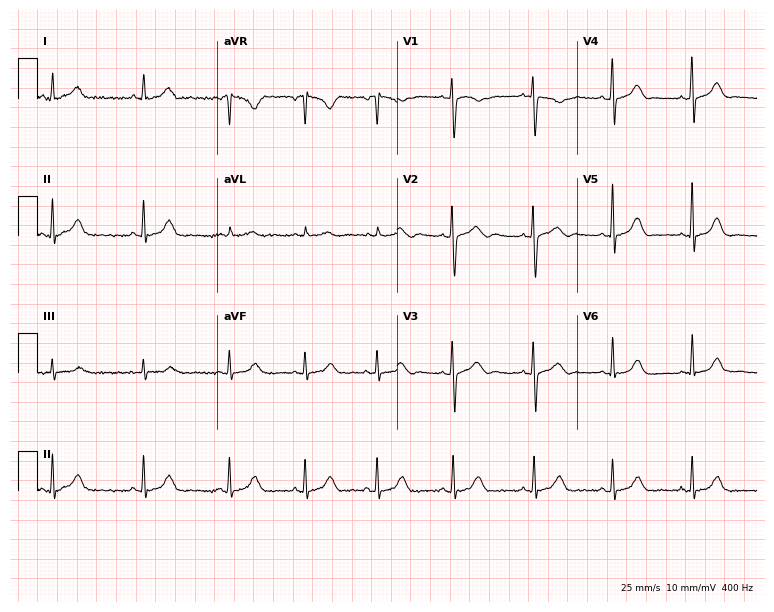
12-lead ECG from a 38-year-old female (7.3-second recording at 400 Hz). No first-degree AV block, right bundle branch block, left bundle branch block, sinus bradycardia, atrial fibrillation or sinus tachycardia recorded for this tracing.